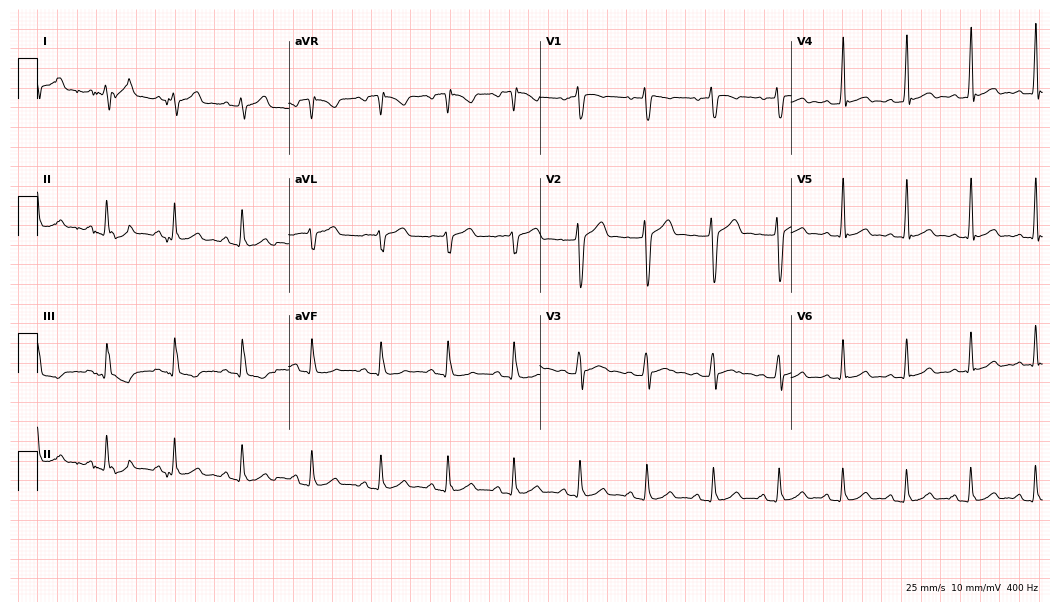
Electrocardiogram, a male aged 90 or older. Of the six screened findings (first-degree AV block, right bundle branch block (RBBB), left bundle branch block (LBBB), sinus bradycardia, atrial fibrillation (AF), sinus tachycardia), none is recorded. Findings outside these six are not listed.